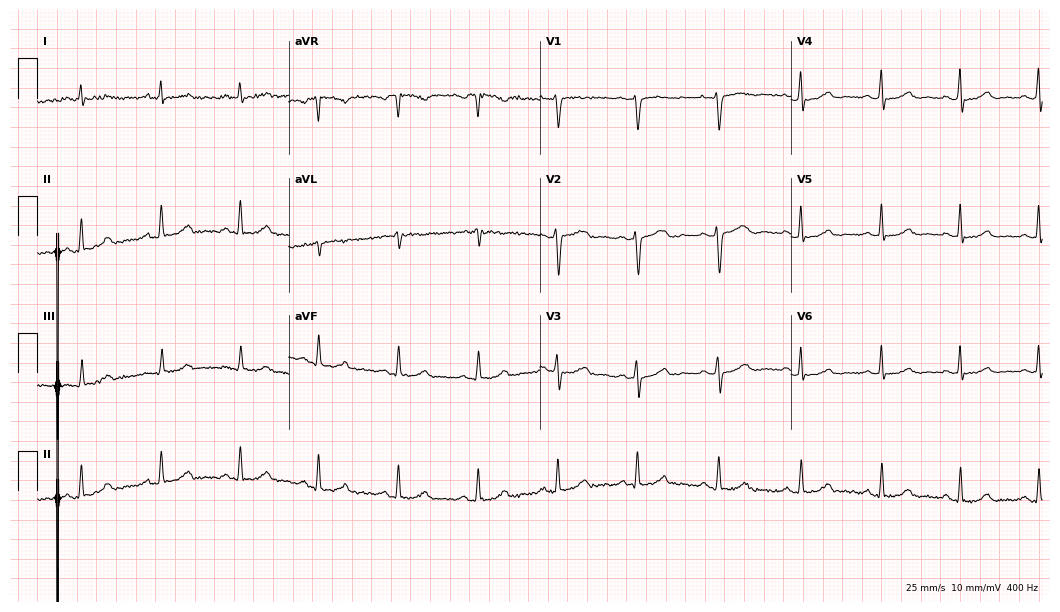
Electrocardiogram (10.2-second recording at 400 Hz), a female patient, 43 years old. Of the six screened findings (first-degree AV block, right bundle branch block, left bundle branch block, sinus bradycardia, atrial fibrillation, sinus tachycardia), none is recorded.